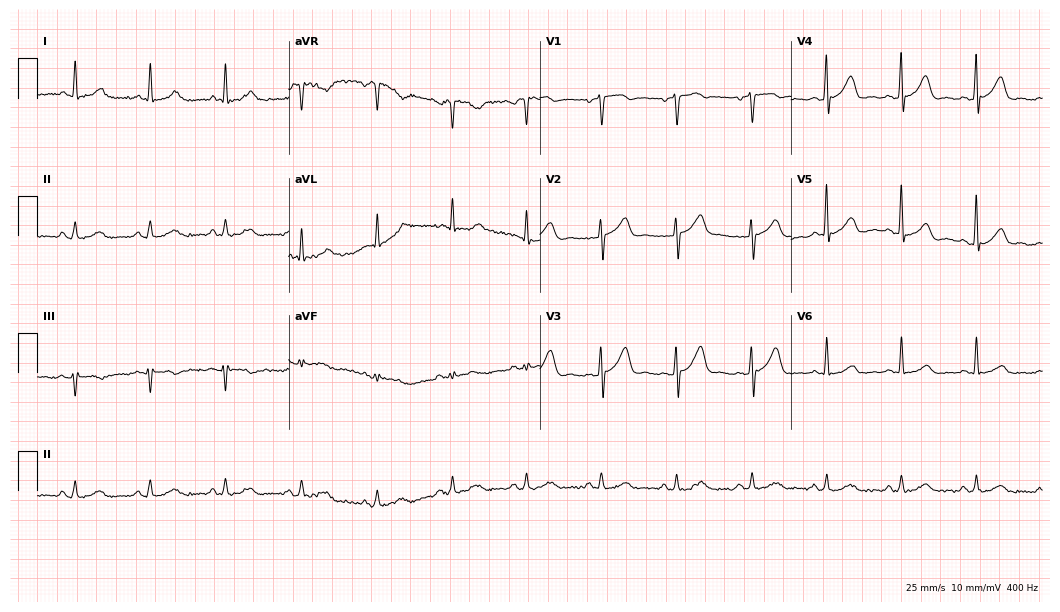
Standard 12-lead ECG recorded from a male patient, 57 years old. Read as a normal ECG.